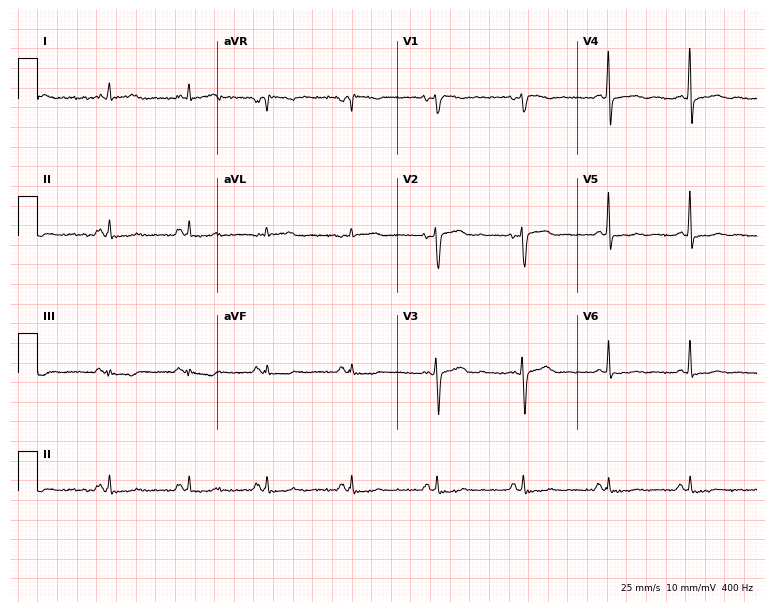
Electrocardiogram, a female patient, 56 years old. Of the six screened findings (first-degree AV block, right bundle branch block, left bundle branch block, sinus bradycardia, atrial fibrillation, sinus tachycardia), none is recorded.